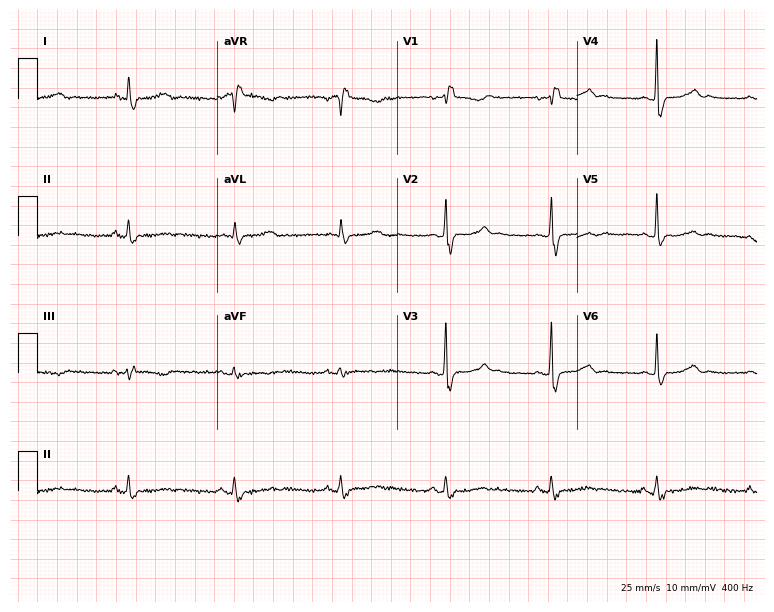
12-lead ECG from a 64-year-old female patient. Shows right bundle branch block.